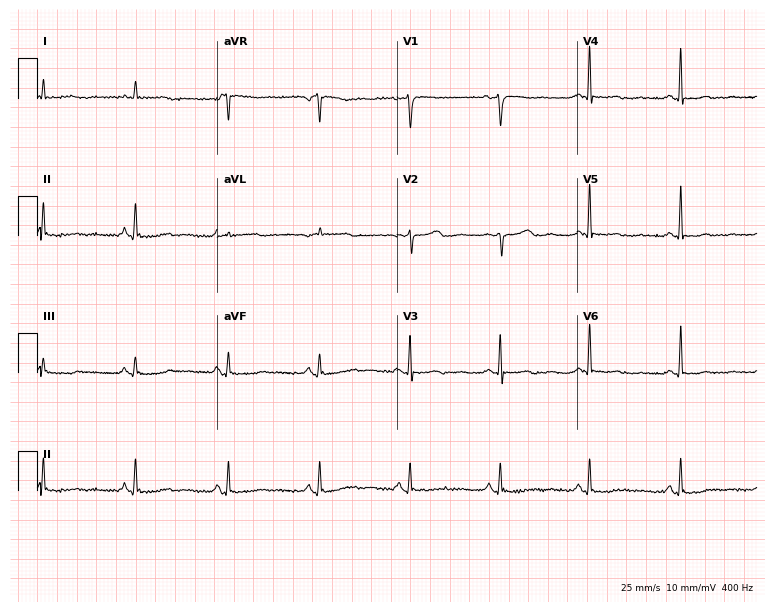
Electrocardiogram, a 72-year-old female. Of the six screened findings (first-degree AV block, right bundle branch block, left bundle branch block, sinus bradycardia, atrial fibrillation, sinus tachycardia), none is recorded. Only these six findings were labelled.